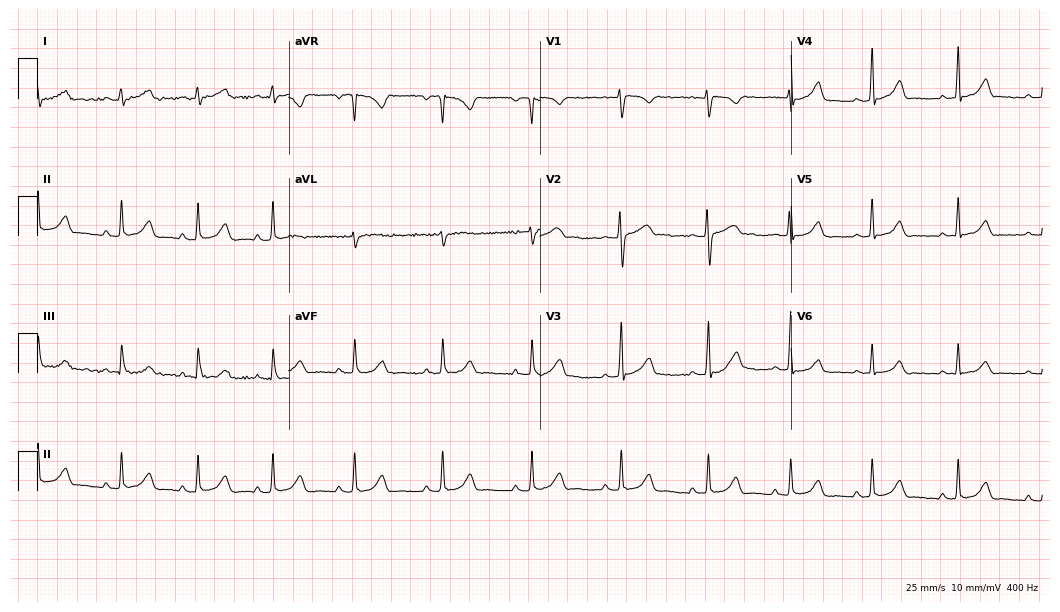
Standard 12-lead ECG recorded from a female, 23 years old (10.2-second recording at 400 Hz). Read as a normal ECG.